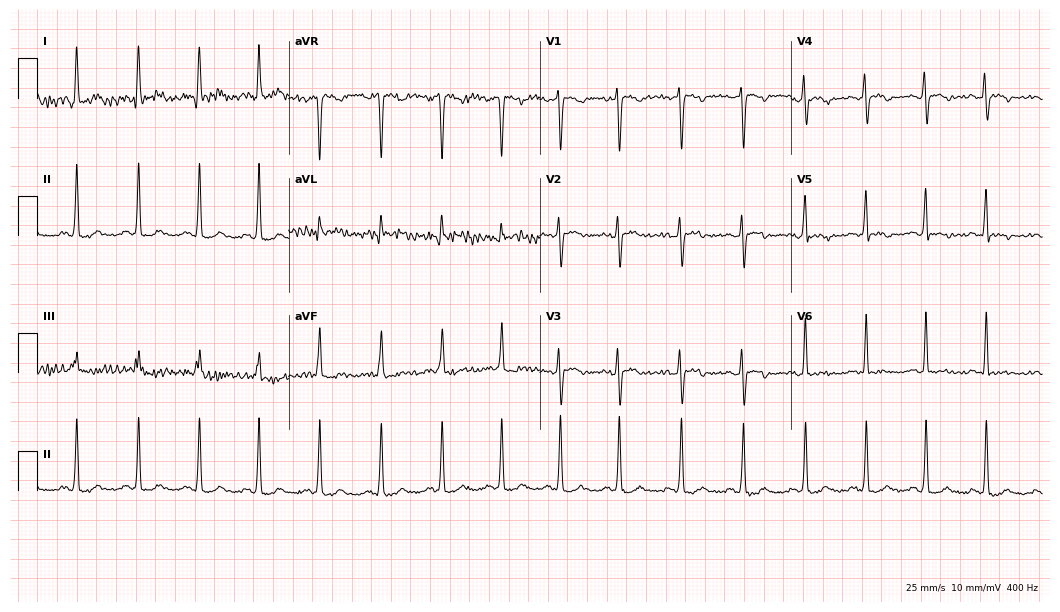
Electrocardiogram, a 35-year-old woman. Of the six screened findings (first-degree AV block, right bundle branch block (RBBB), left bundle branch block (LBBB), sinus bradycardia, atrial fibrillation (AF), sinus tachycardia), none is recorded.